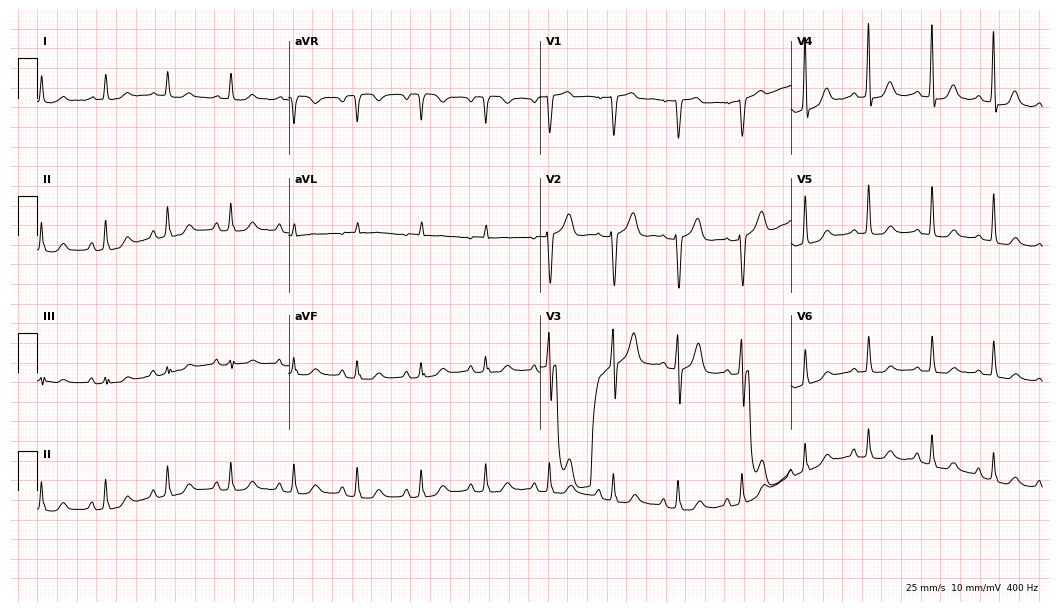
12-lead ECG (10.2-second recording at 400 Hz) from a woman, 68 years old. Screened for six findings — first-degree AV block, right bundle branch block, left bundle branch block, sinus bradycardia, atrial fibrillation, sinus tachycardia — none is recorded. Findings outside these six are not listed.